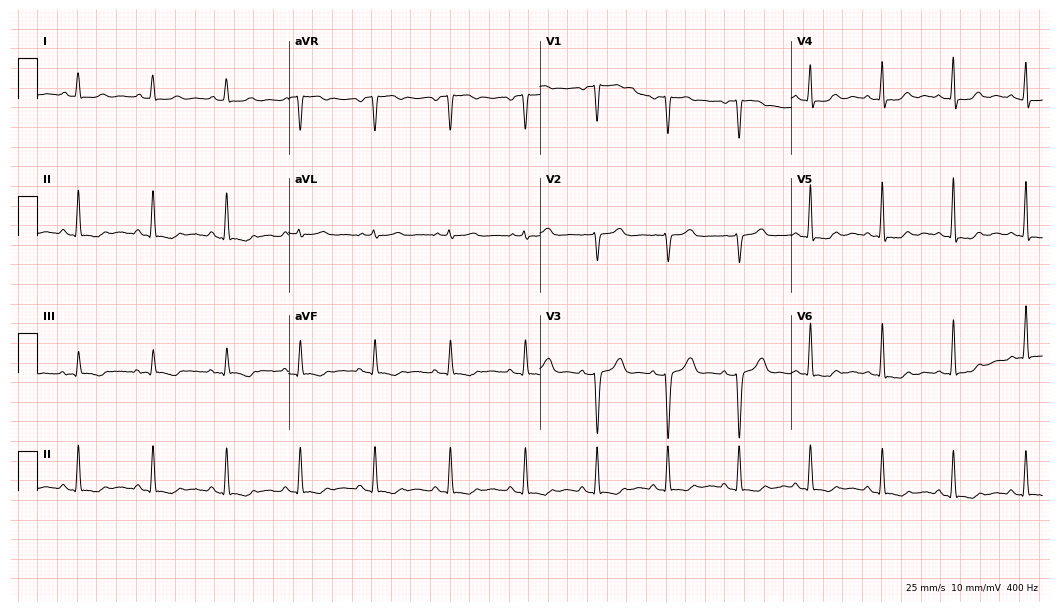
ECG (10.2-second recording at 400 Hz) — a 53-year-old female. Screened for six findings — first-degree AV block, right bundle branch block, left bundle branch block, sinus bradycardia, atrial fibrillation, sinus tachycardia — none is recorded.